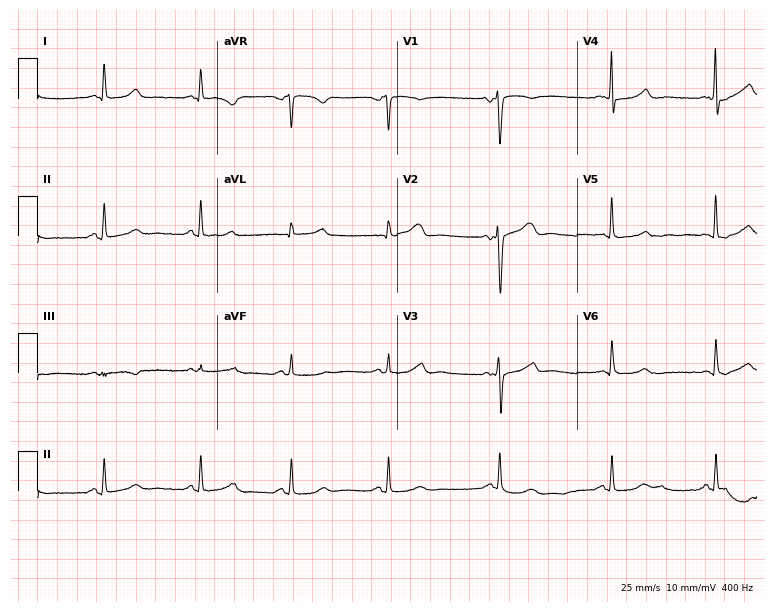
12-lead ECG from a female, 55 years old. Labelled as a normal ECG.